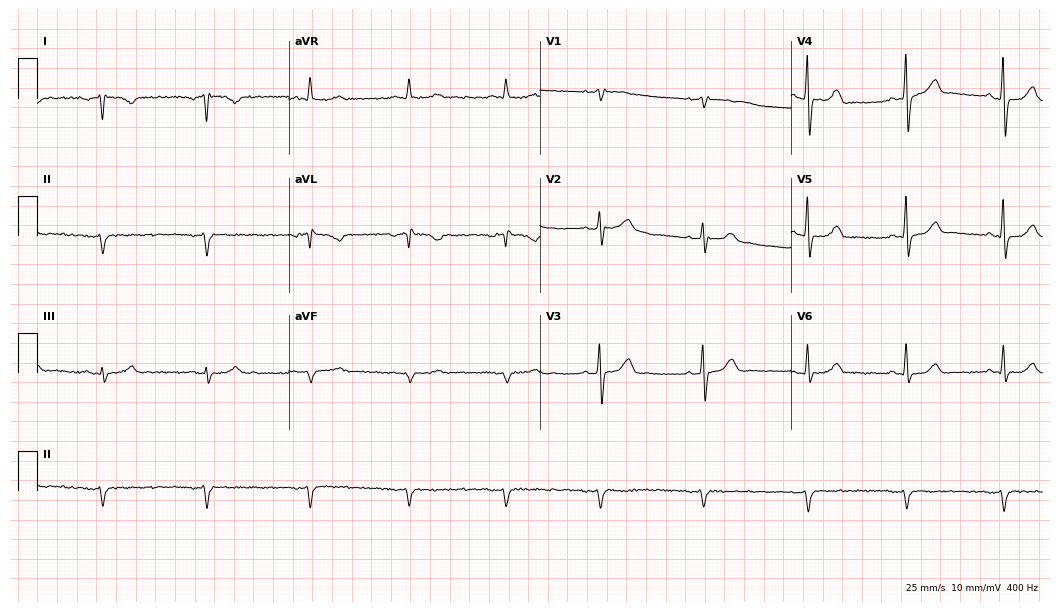
ECG — an 81-year-old man. Screened for six findings — first-degree AV block, right bundle branch block (RBBB), left bundle branch block (LBBB), sinus bradycardia, atrial fibrillation (AF), sinus tachycardia — none is recorded.